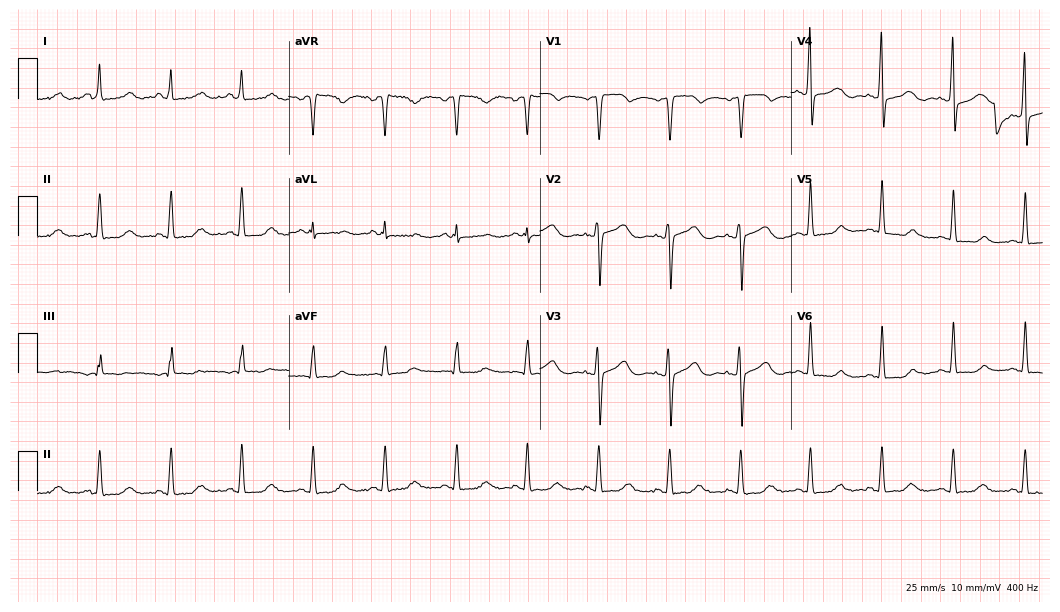
Standard 12-lead ECG recorded from a female patient, 65 years old. None of these six findings is recorded: first-degree AV block, right bundle branch block (RBBB), left bundle branch block (LBBB), sinus bradycardia, atrial fibrillation (AF), sinus tachycardia. Other findings, if any, are not listed.